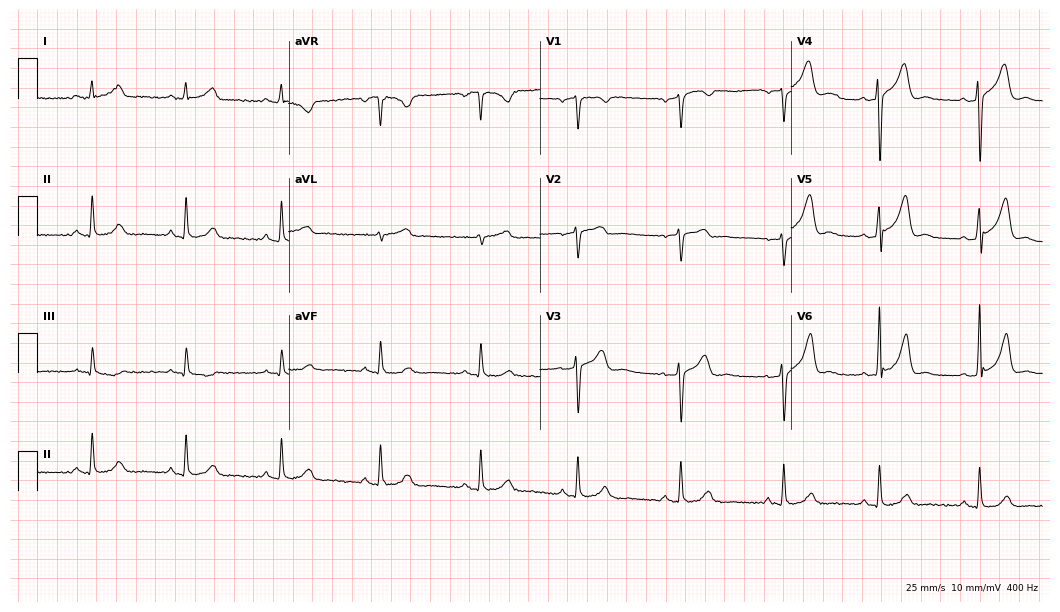
ECG (10.2-second recording at 400 Hz) — a 41-year-old male. Labelled as a normal ECG.